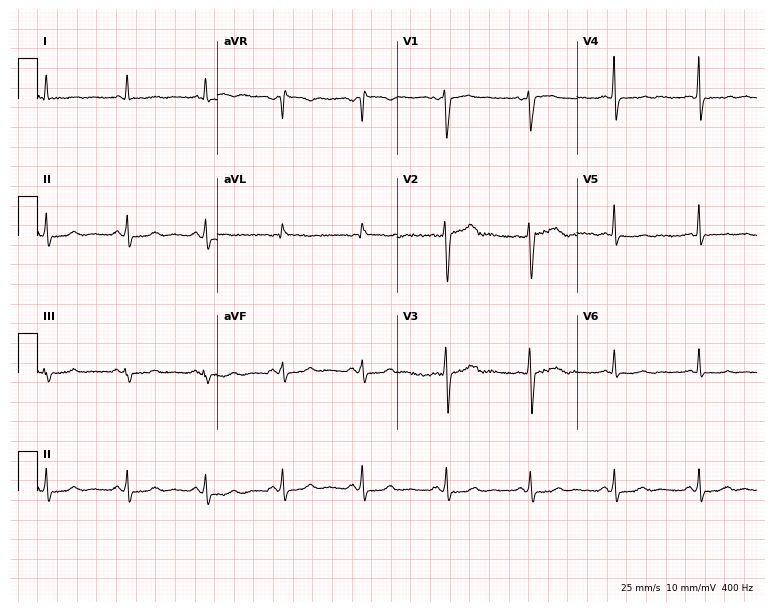
12-lead ECG from a 51-year-old female. Labelled as a normal ECG.